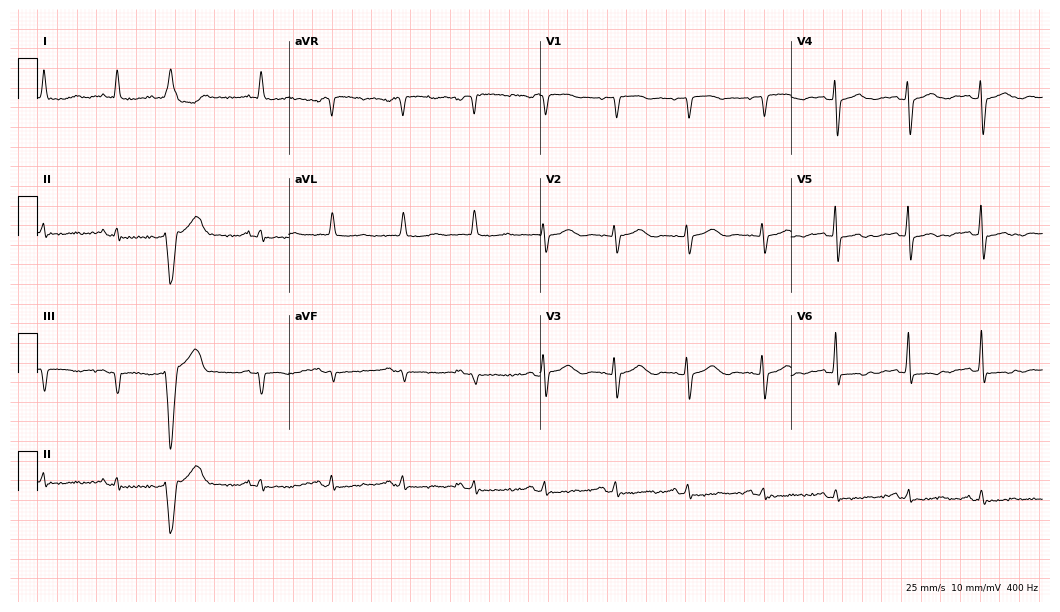
ECG — an 85-year-old female. Screened for six findings — first-degree AV block, right bundle branch block, left bundle branch block, sinus bradycardia, atrial fibrillation, sinus tachycardia — none is recorded.